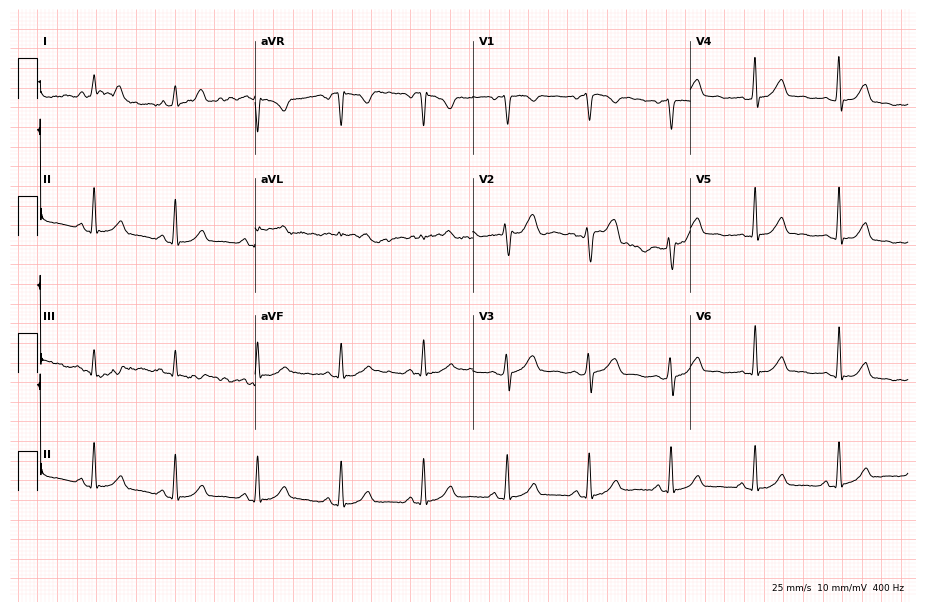
ECG (8.9-second recording at 400 Hz) — a female patient, 41 years old. Screened for six findings — first-degree AV block, right bundle branch block (RBBB), left bundle branch block (LBBB), sinus bradycardia, atrial fibrillation (AF), sinus tachycardia — none is recorded. Findings outside these six are not listed.